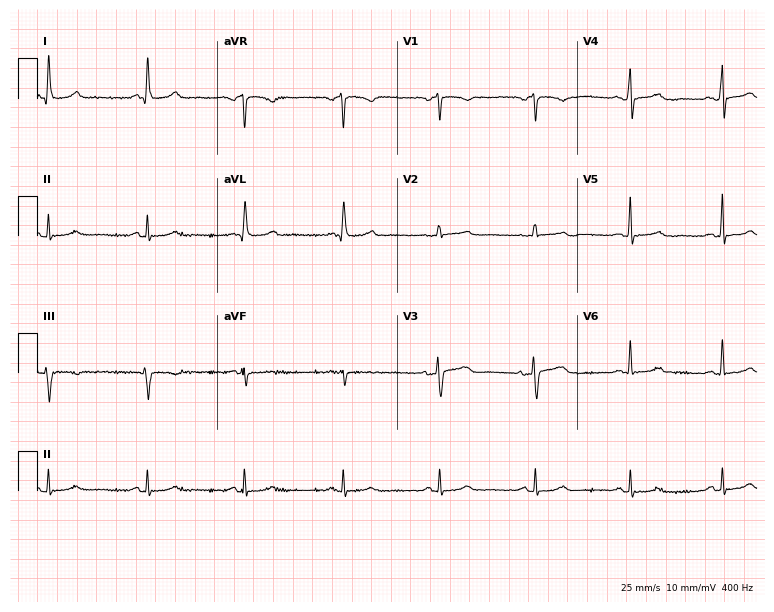
Resting 12-lead electrocardiogram (7.3-second recording at 400 Hz). Patient: a 65-year-old woman. None of these six findings is recorded: first-degree AV block, right bundle branch block, left bundle branch block, sinus bradycardia, atrial fibrillation, sinus tachycardia.